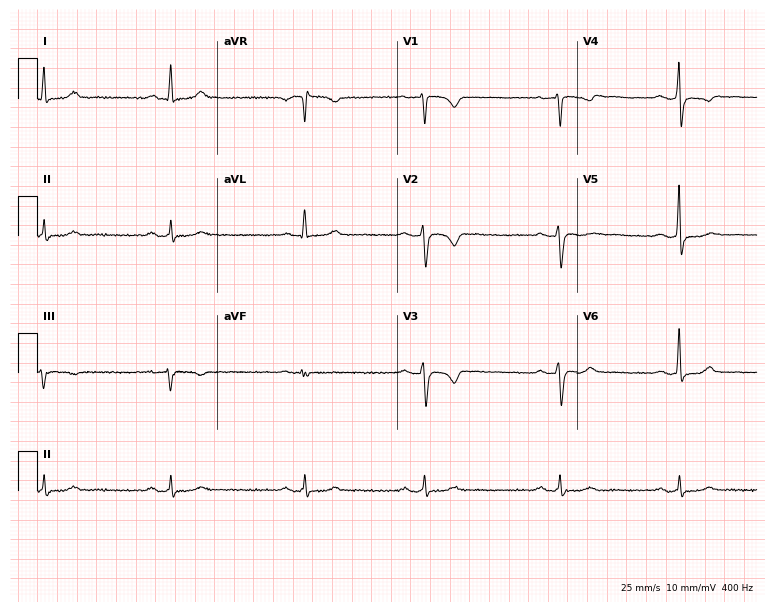
ECG (7.3-second recording at 400 Hz) — a 56-year-old woman. Findings include sinus bradycardia (a sinus rate of 50 beats per minute or less).